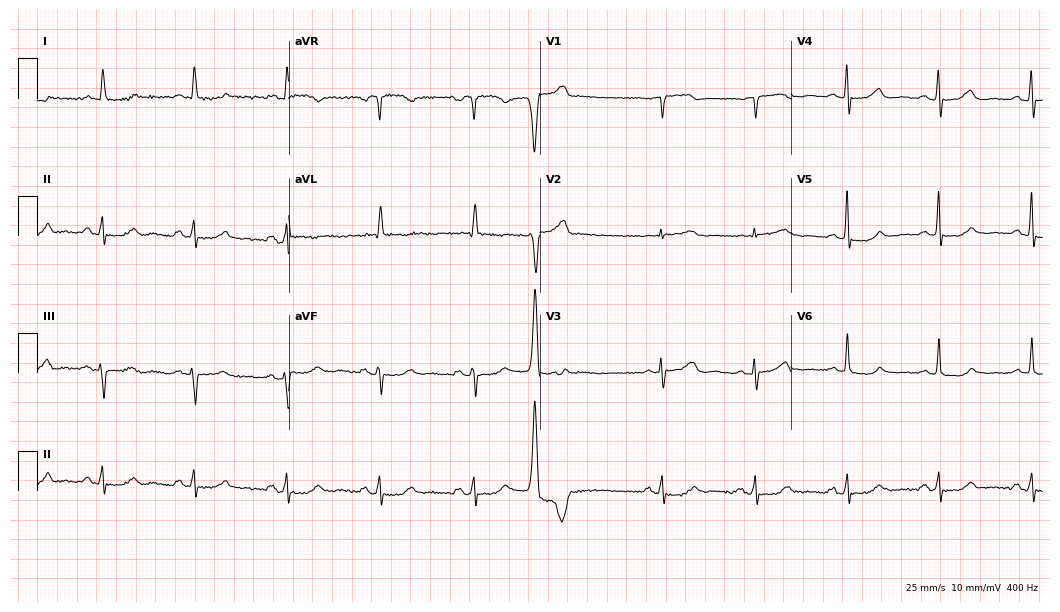
12-lead ECG (10.2-second recording at 400 Hz) from a 77-year-old female. Screened for six findings — first-degree AV block, right bundle branch block, left bundle branch block, sinus bradycardia, atrial fibrillation, sinus tachycardia — none is recorded.